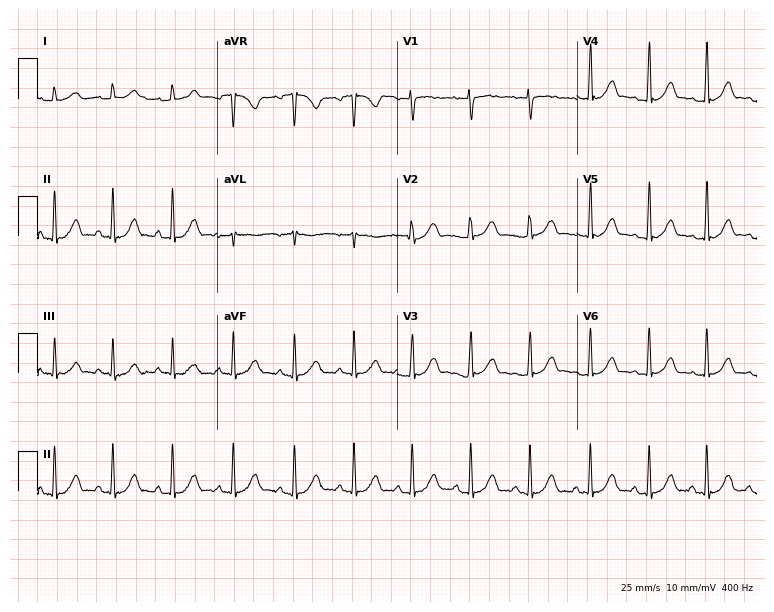
ECG (7.3-second recording at 400 Hz) — a 24-year-old female patient. Labelled as a normal ECG.